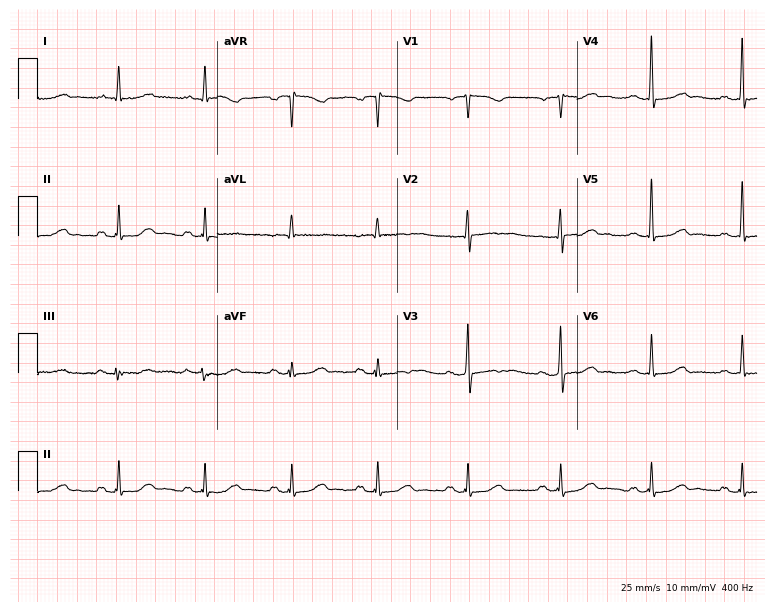
12-lead ECG (7.3-second recording at 400 Hz) from a 57-year-old female. Screened for six findings — first-degree AV block, right bundle branch block (RBBB), left bundle branch block (LBBB), sinus bradycardia, atrial fibrillation (AF), sinus tachycardia — none is recorded. Other findings, if any, are not listed.